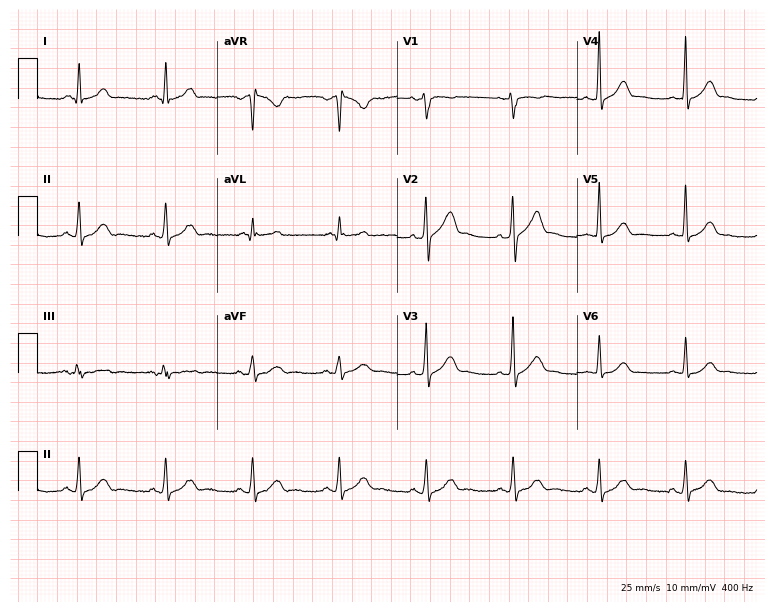
Electrocardiogram (7.3-second recording at 400 Hz), a 56-year-old male patient. Of the six screened findings (first-degree AV block, right bundle branch block, left bundle branch block, sinus bradycardia, atrial fibrillation, sinus tachycardia), none is recorded. Other findings, if any, are not listed.